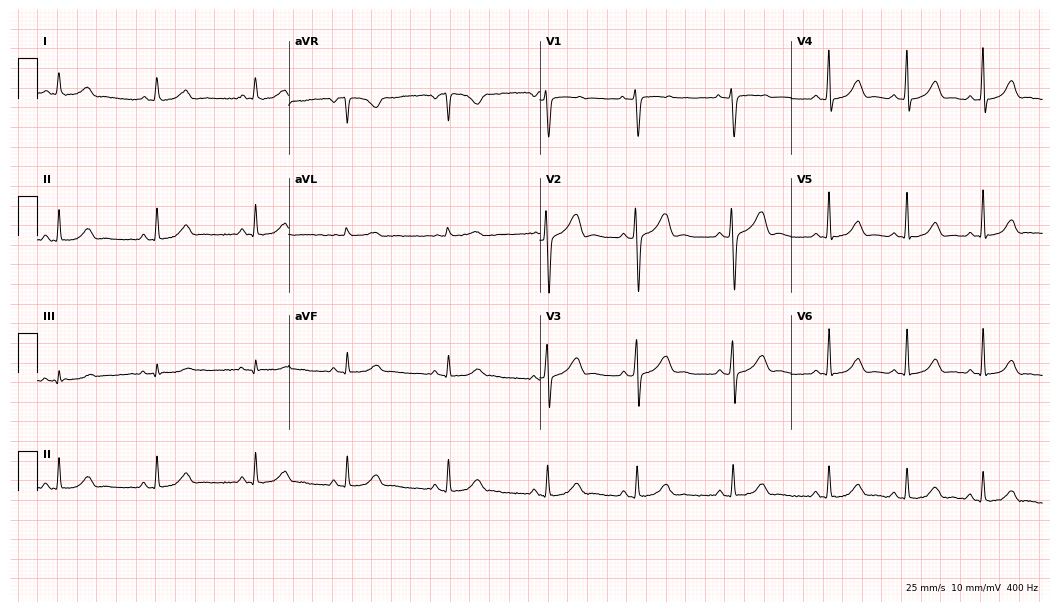
Electrocardiogram, a 37-year-old woman. Of the six screened findings (first-degree AV block, right bundle branch block, left bundle branch block, sinus bradycardia, atrial fibrillation, sinus tachycardia), none is recorded.